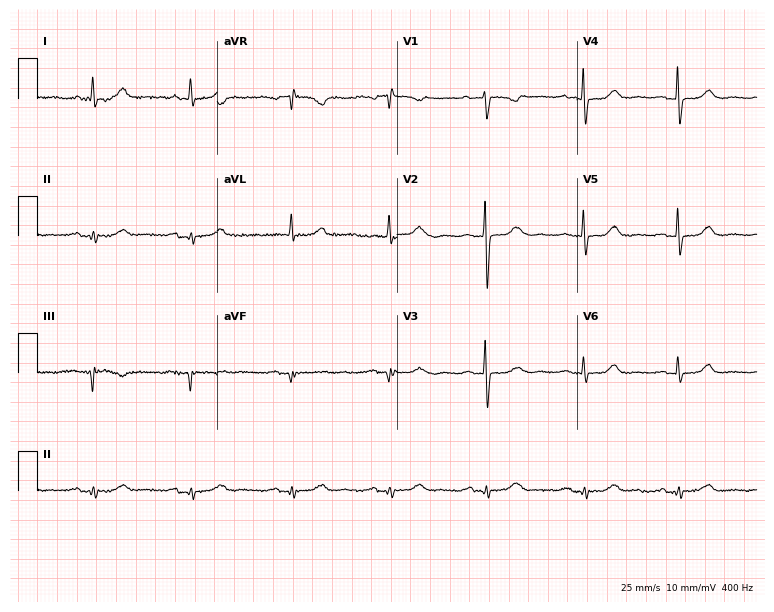
ECG — a female patient, 72 years old. Screened for six findings — first-degree AV block, right bundle branch block, left bundle branch block, sinus bradycardia, atrial fibrillation, sinus tachycardia — none is recorded. Other findings, if any, are not listed.